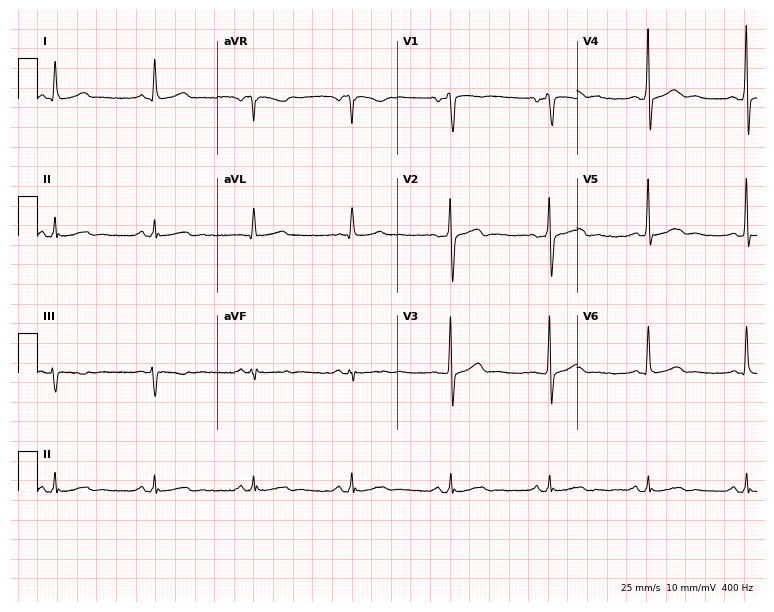
Standard 12-lead ECG recorded from a man, 75 years old (7.3-second recording at 400 Hz). Read as a normal ECG.